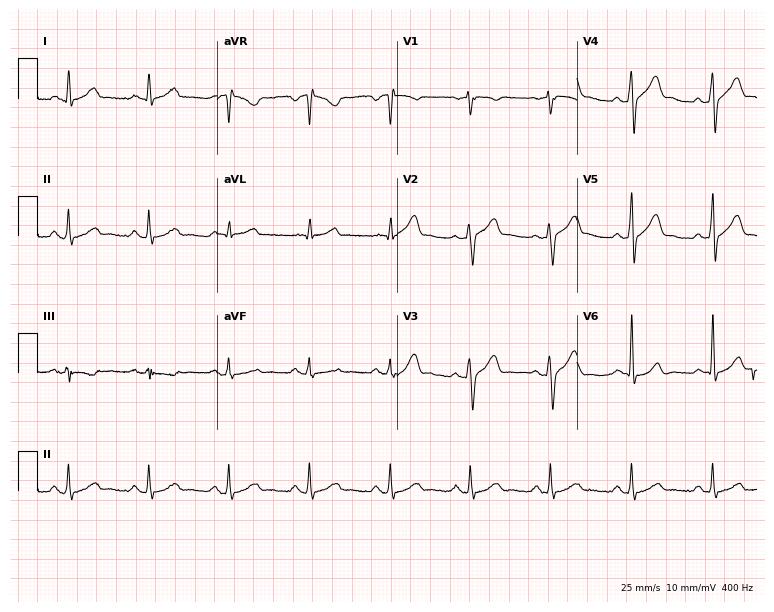
Electrocardiogram, a male, 58 years old. Overall reading on record: normal ECG.